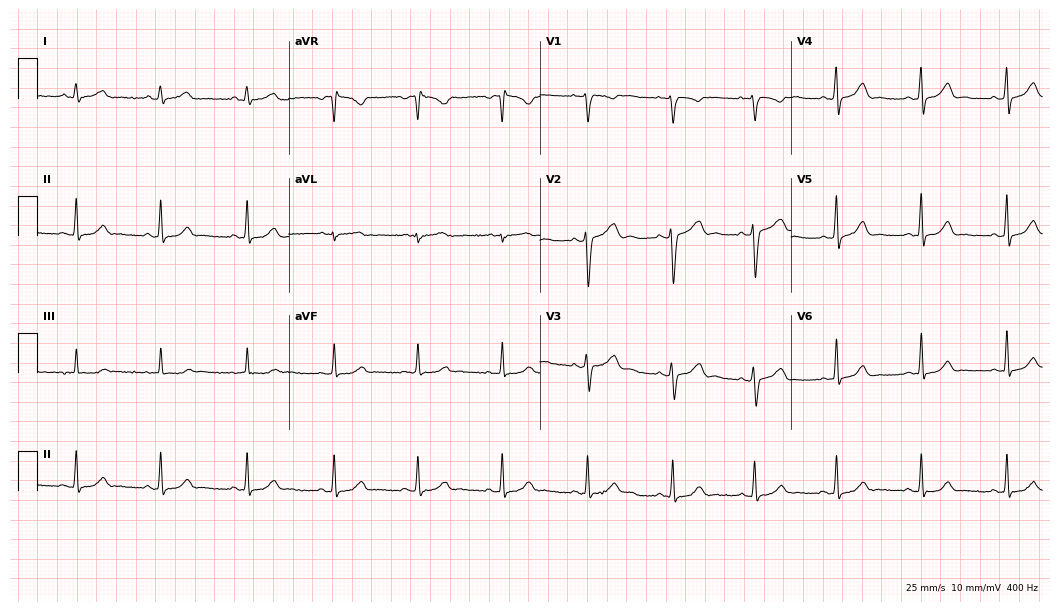
Resting 12-lead electrocardiogram. Patient: a woman, 23 years old. None of these six findings is recorded: first-degree AV block, right bundle branch block (RBBB), left bundle branch block (LBBB), sinus bradycardia, atrial fibrillation (AF), sinus tachycardia.